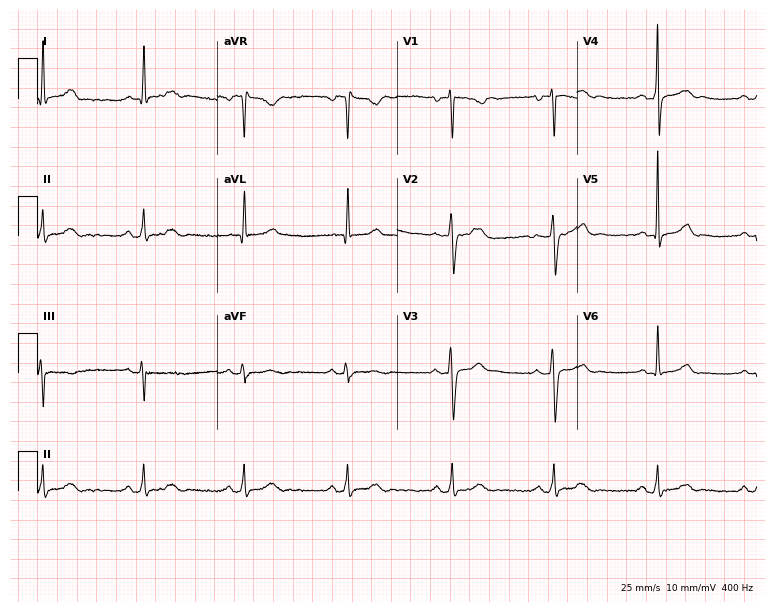
Resting 12-lead electrocardiogram. Patient: a male, 53 years old. None of these six findings is recorded: first-degree AV block, right bundle branch block (RBBB), left bundle branch block (LBBB), sinus bradycardia, atrial fibrillation (AF), sinus tachycardia.